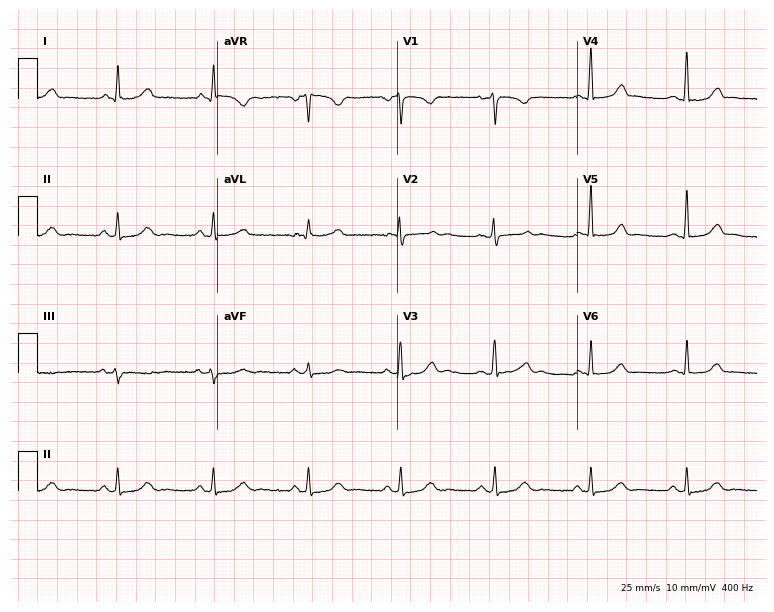
Standard 12-lead ECG recorded from a woman, 44 years old (7.3-second recording at 400 Hz). None of these six findings is recorded: first-degree AV block, right bundle branch block (RBBB), left bundle branch block (LBBB), sinus bradycardia, atrial fibrillation (AF), sinus tachycardia. Findings outside these six are not listed.